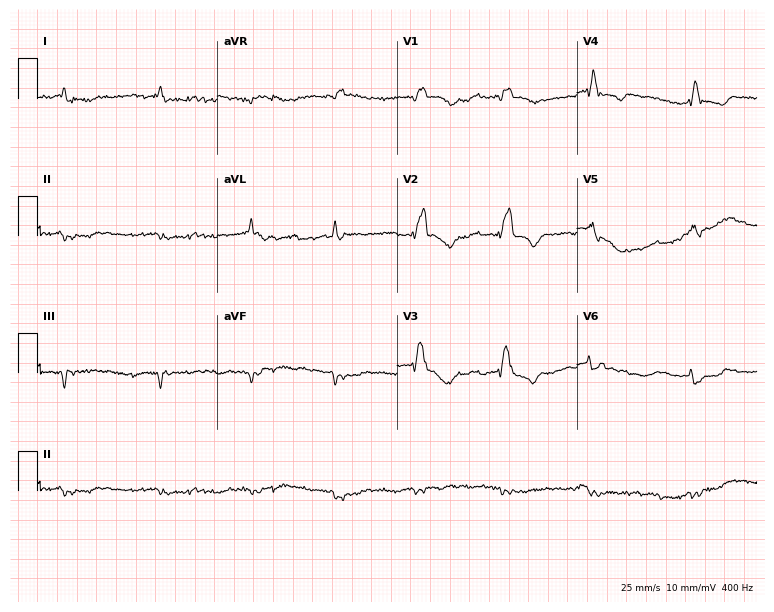
Standard 12-lead ECG recorded from an 80-year-old male patient (7.3-second recording at 400 Hz). None of these six findings is recorded: first-degree AV block, right bundle branch block (RBBB), left bundle branch block (LBBB), sinus bradycardia, atrial fibrillation (AF), sinus tachycardia. Only these six findings were labelled.